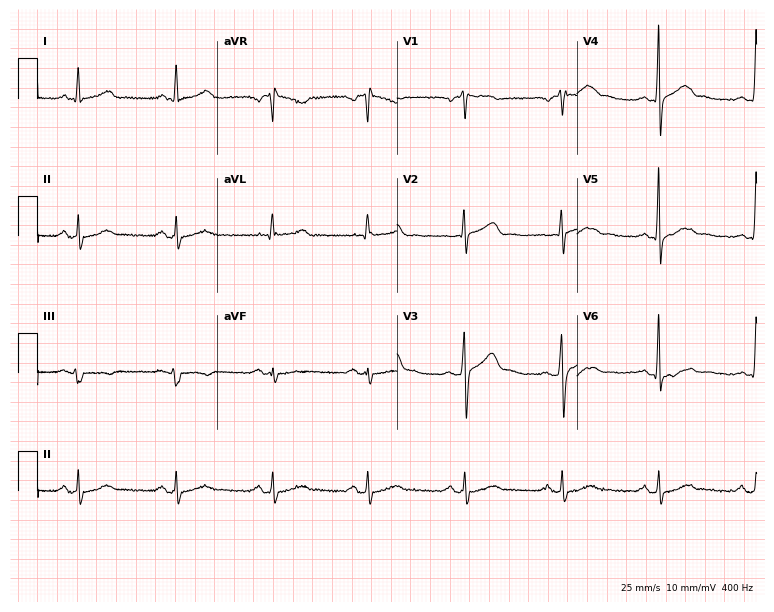
ECG (7.3-second recording at 400 Hz) — a 56-year-old male. Labelled as a normal ECG.